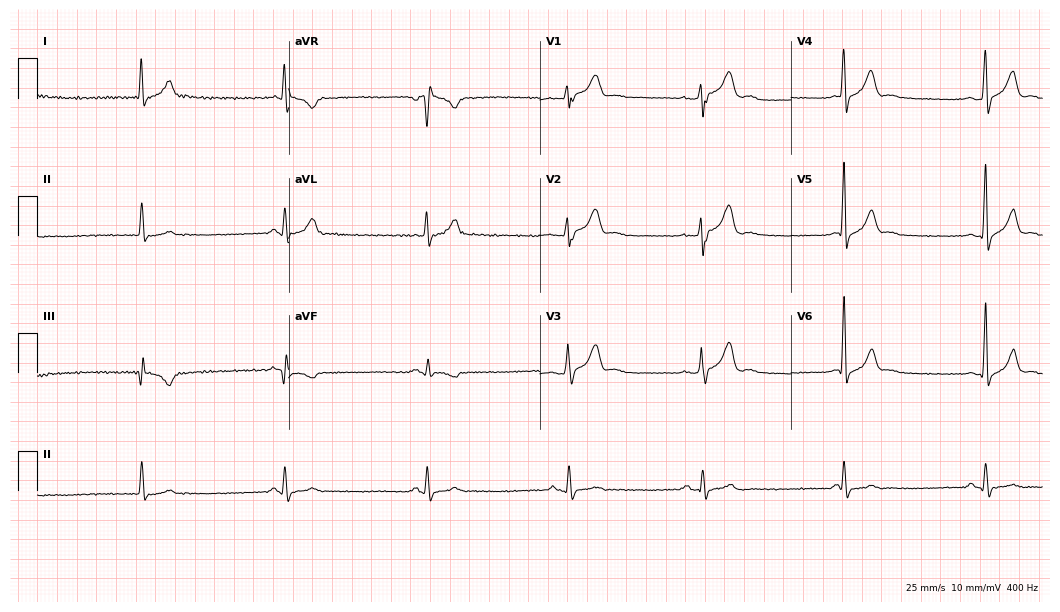
Electrocardiogram, a 34-year-old male patient. Of the six screened findings (first-degree AV block, right bundle branch block (RBBB), left bundle branch block (LBBB), sinus bradycardia, atrial fibrillation (AF), sinus tachycardia), none is recorded.